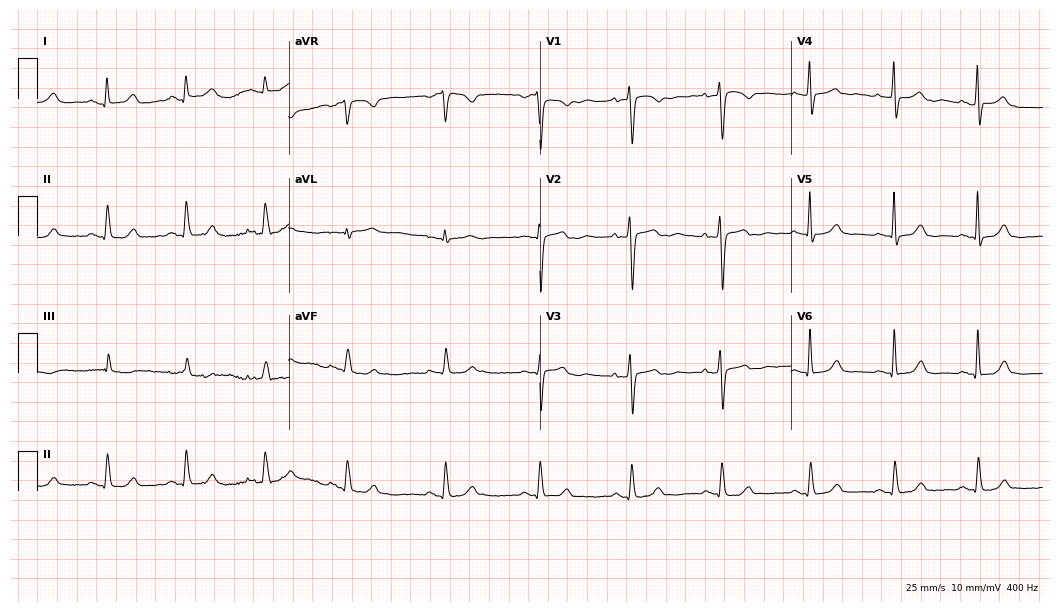
Standard 12-lead ECG recorded from a woman, 30 years old. None of these six findings is recorded: first-degree AV block, right bundle branch block, left bundle branch block, sinus bradycardia, atrial fibrillation, sinus tachycardia. Findings outside these six are not listed.